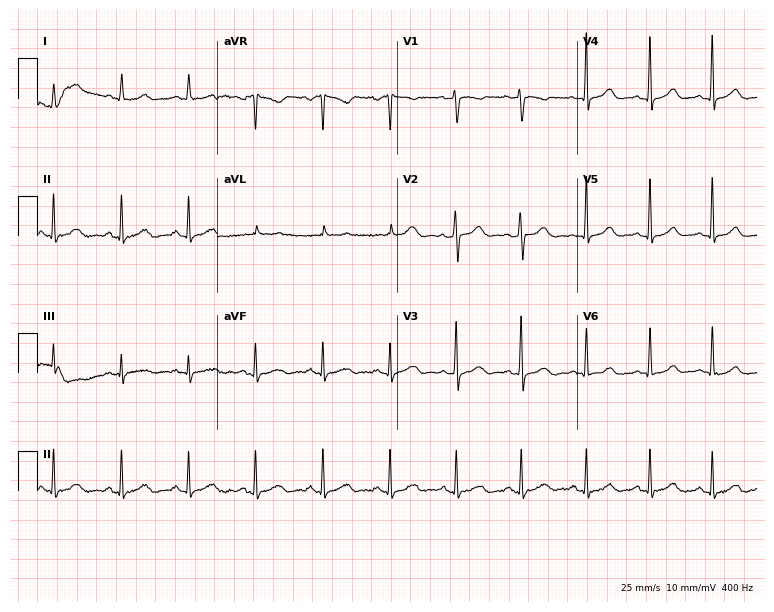
Electrocardiogram (7.3-second recording at 400 Hz), a female patient, 53 years old. Of the six screened findings (first-degree AV block, right bundle branch block, left bundle branch block, sinus bradycardia, atrial fibrillation, sinus tachycardia), none is recorded.